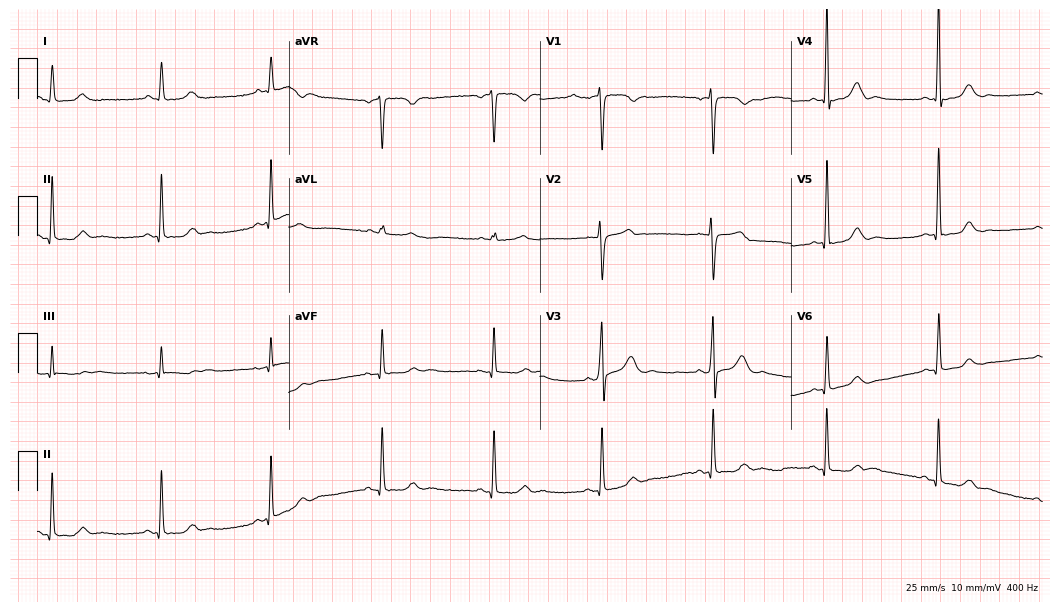
Standard 12-lead ECG recorded from a male, 46 years old (10.2-second recording at 400 Hz). None of these six findings is recorded: first-degree AV block, right bundle branch block (RBBB), left bundle branch block (LBBB), sinus bradycardia, atrial fibrillation (AF), sinus tachycardia. Findings outside these six are not listed.